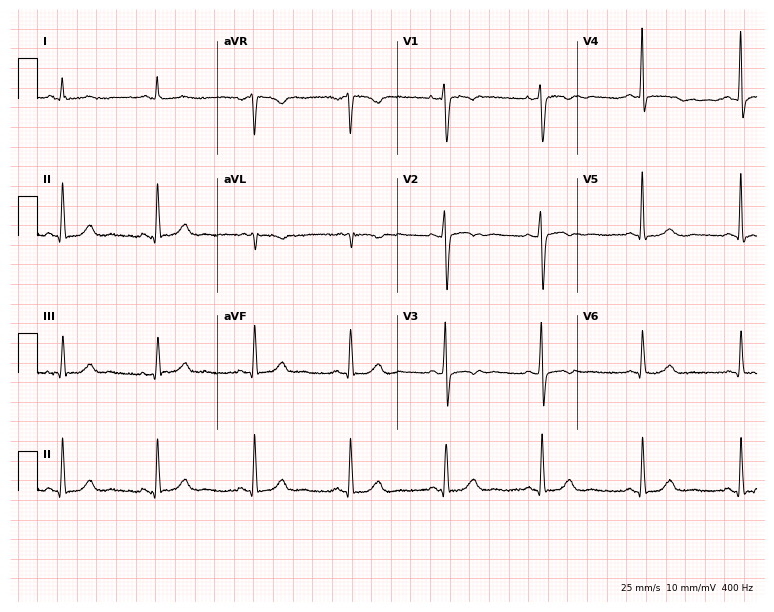
12-lead ECG from a 33-year-old woman. Recorded interpretation: within normal limits.